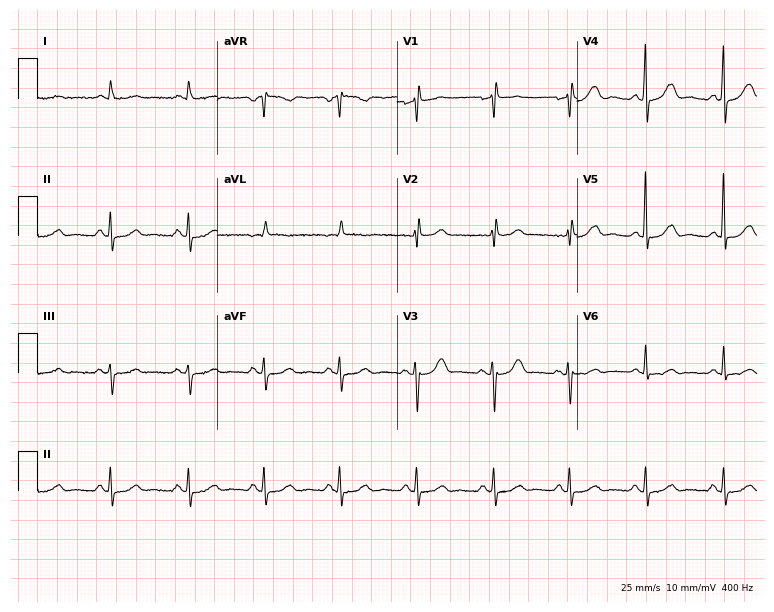
12-lead ECG (7.3-second recording at 400 Hz) from a woman, 79 years old. Screened for six findings — first-degree AV block, right bundle branch block, left bundle branch block, sinus bradycardia, atrial fibrillation, sinus tachycardia — none is recorded. Only these six findings were labelled.